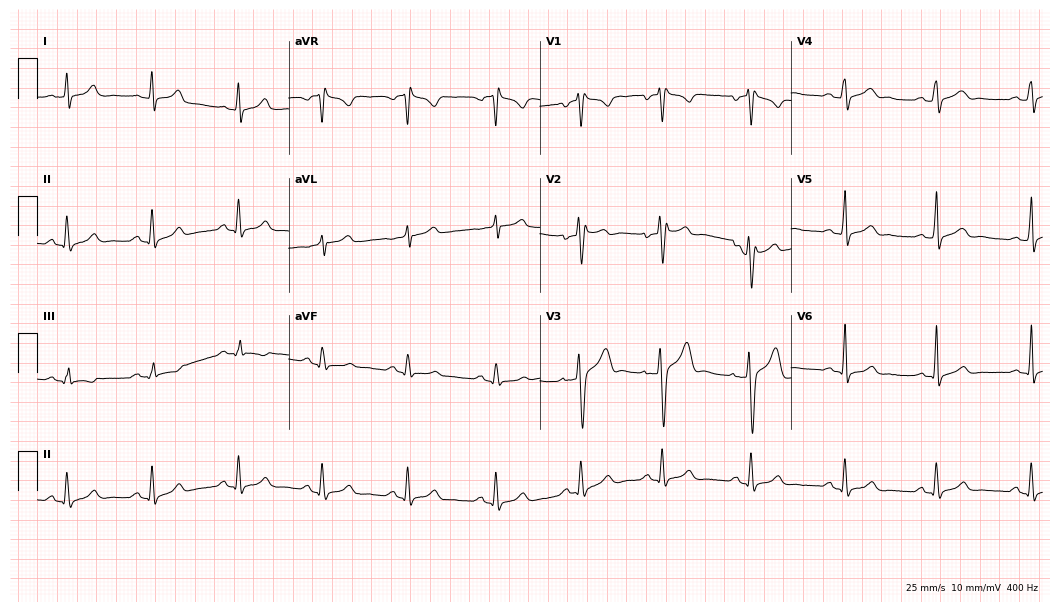
Electrocardiogram, a man, 24 years old. Of the six screened findings (first-degree AV block, right bundle branch block (RBBB), left bundle branch block (LBBB), sinus bradycardia, atrial fibrillation (AF), sinus tachycardia), none is recorded. Other findings, if any, are not listed.